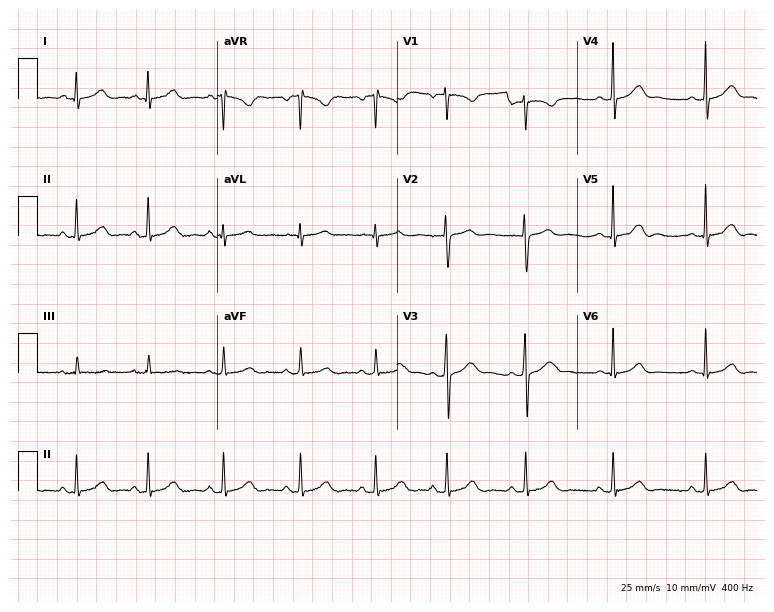
12-lead ECG from a 27-year-old female (7.3-second recording at 400 Hz). No first-degree AV block, right bundle branch block, left bundle branch block, sinus bradycardia, atrial fibrillation or sinus tachycardia recorded for this tracing. Findings outside these six are not listed.